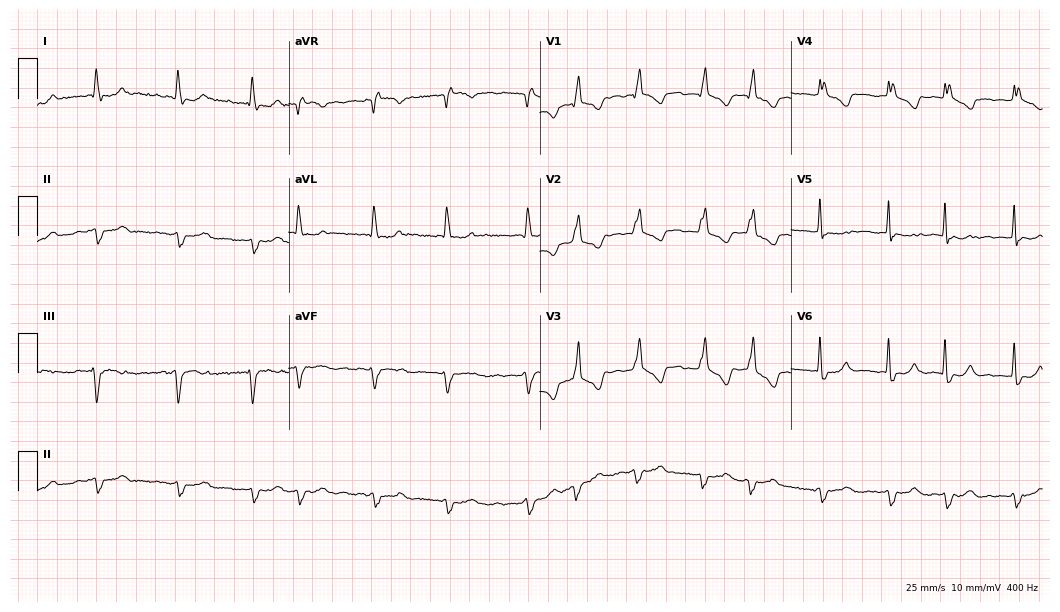
12-lead ECG from a female patient, 78 years old. Shows right bundle branch block (RBBB), atrial fibrillation (AF).